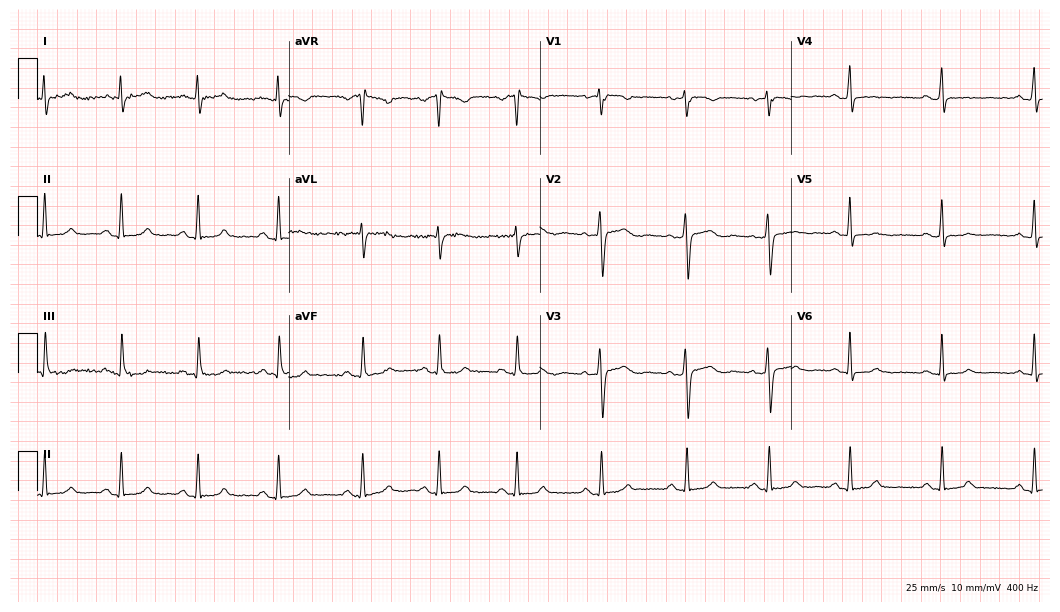
12-lead ECG from a 28-year-old female patient (10.2-second recording at 400 Hz). No first-degree AV block, right bundle branch block, left bundle branch block, sinus bradycardia, atrial fibrillation or sinus tachycardia recorded for this tracing.